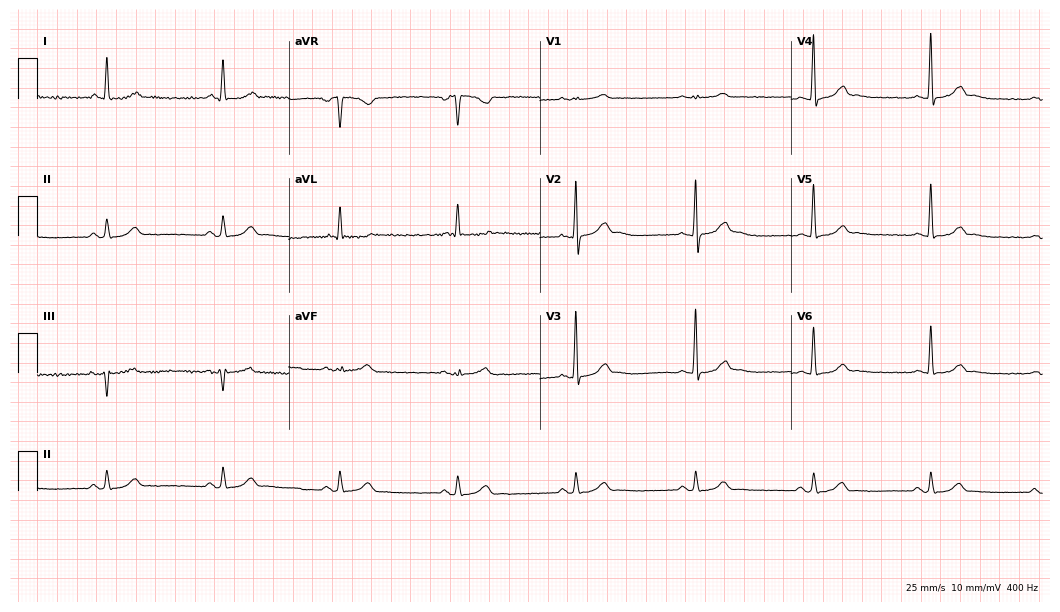
Electrocardiogram, a 61-year-old man. Overall reading on record: normal ECG.